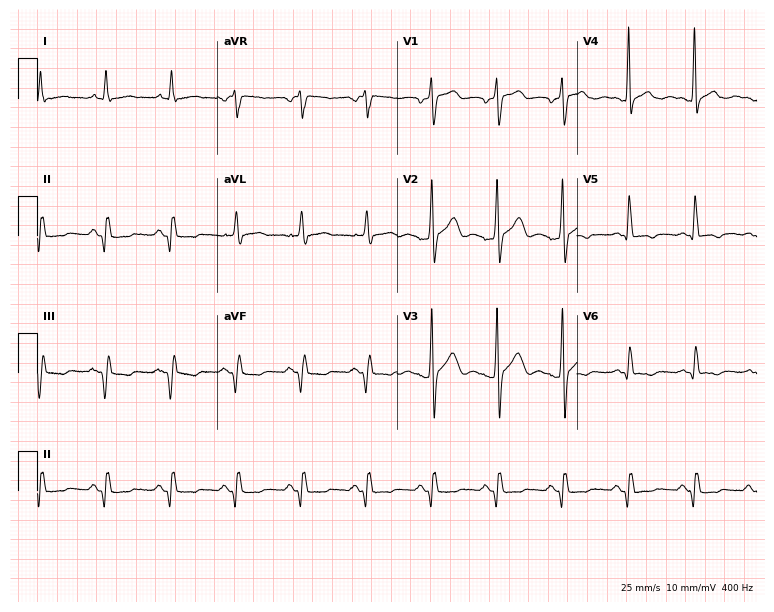
Standard 12-lead ECG recorded from a male, 41 years old (7.3-second recording at 400 Hz). None of these six findings is recorded: first-degree AV block, right bundle branch block, left bundle branch block, sinus bradycardia, atrial fibrillation, sinus tachycardia. Findings outside these six are not listed.